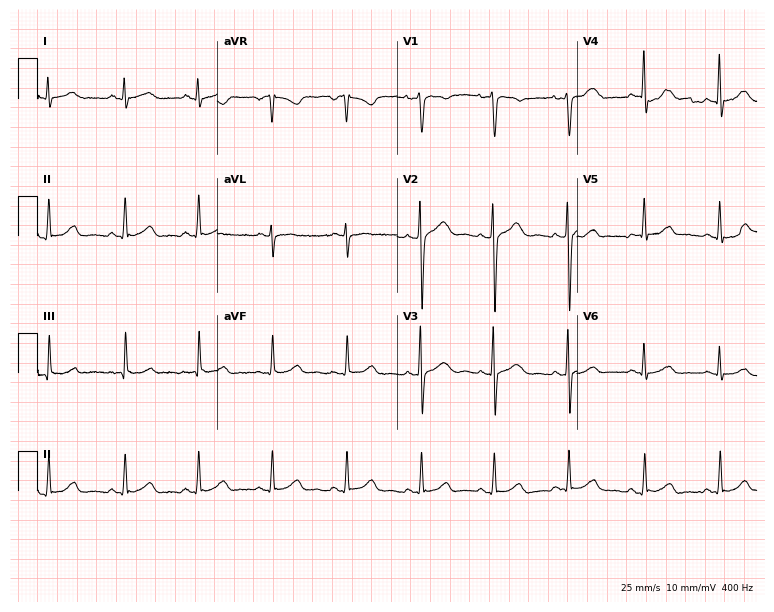
Electrocardiogram (7.3-second recording at 400 Hz), a woman, 27 years old. Overall reading on record: normal ECG.